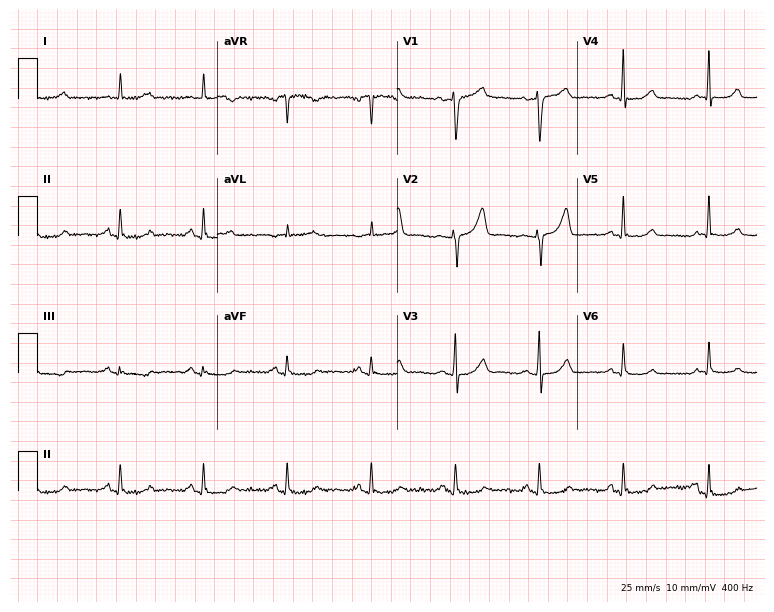
12-lead ECG from a 54-year-old female patient. Screened for six findings — first-degree AV block, right bundle branch block (RBBB), left bundle branch block (LBBB), sinus bradycardia, atrial fibrillation (AF), sinus tachycardia — none is recorded. Findings outside these six are not listed.